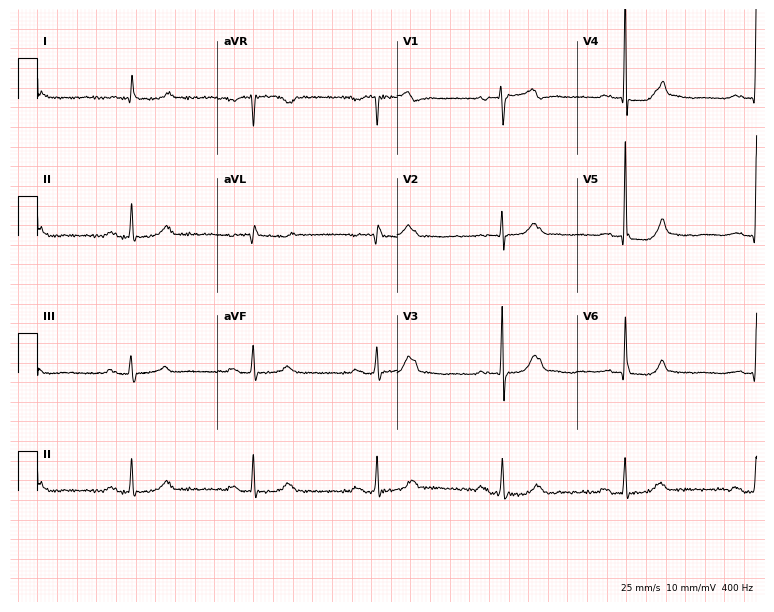
Standard 12-lead ECG recorded from a 68-year-old male (7.3-second recording at 400 Hz). Read as a normal ECG.